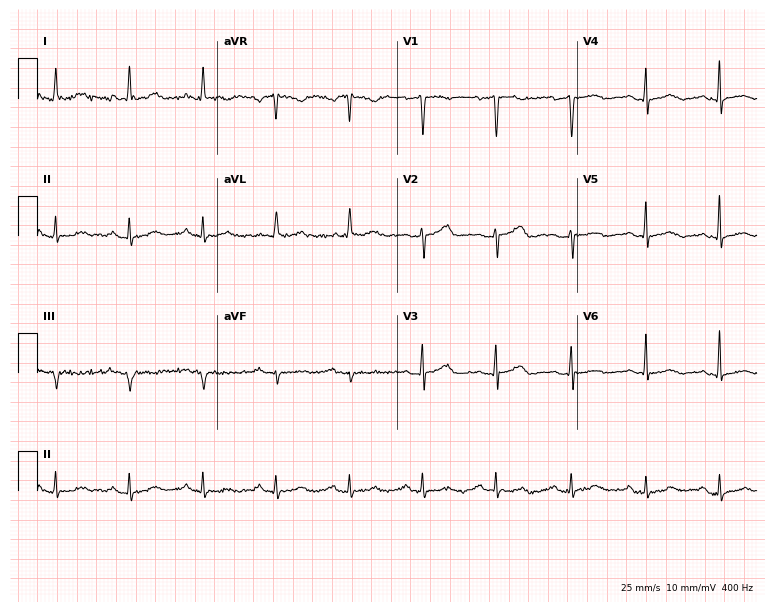
Standard 12-lead ECG recorded from a 47-year-old female. None of these six findings is recorded: first-degree AV block, right bundle branch block, left bundle branch block, sinus bradycardia, atrial fibrillation, sinus tachycardia.